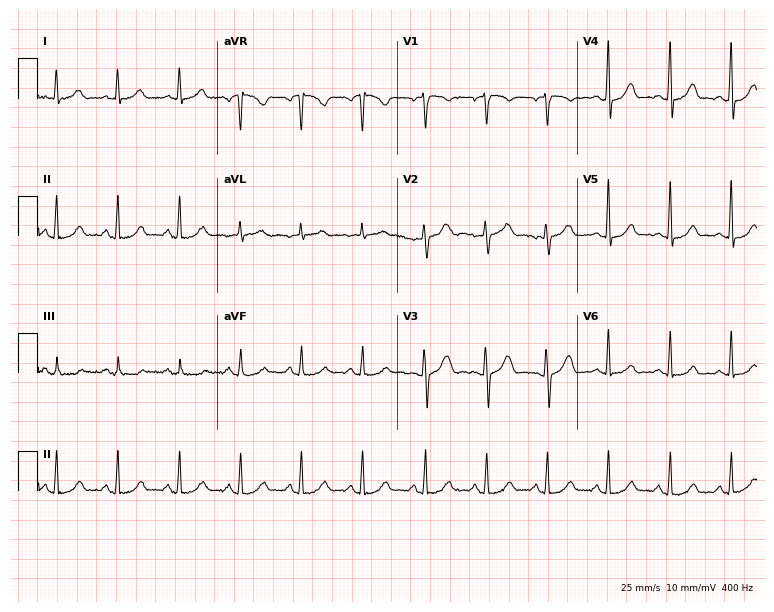
Electrocardiogram, a 33-year-old female patient. Overall reading on record: normal ECG.